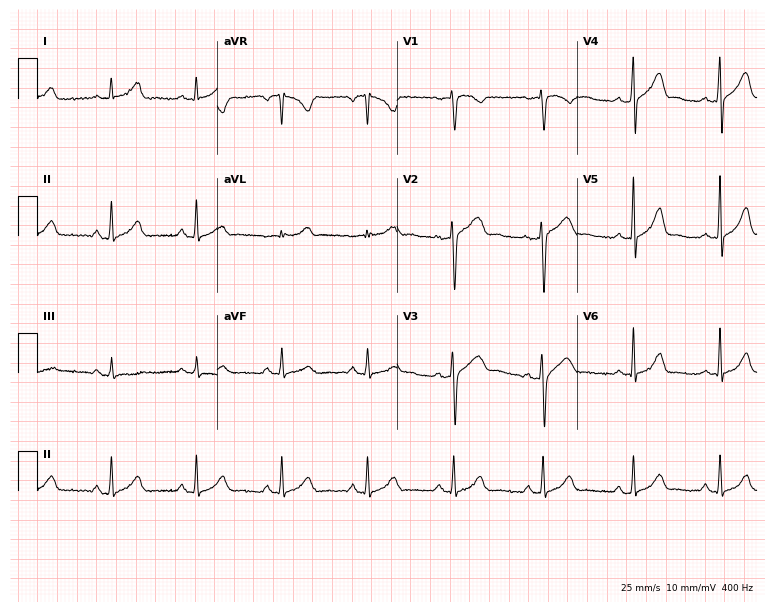
Electrocardiogram (7.3-second recording at 400 Hz), a male, 41 years old. Overall reading on record: normal ECG.